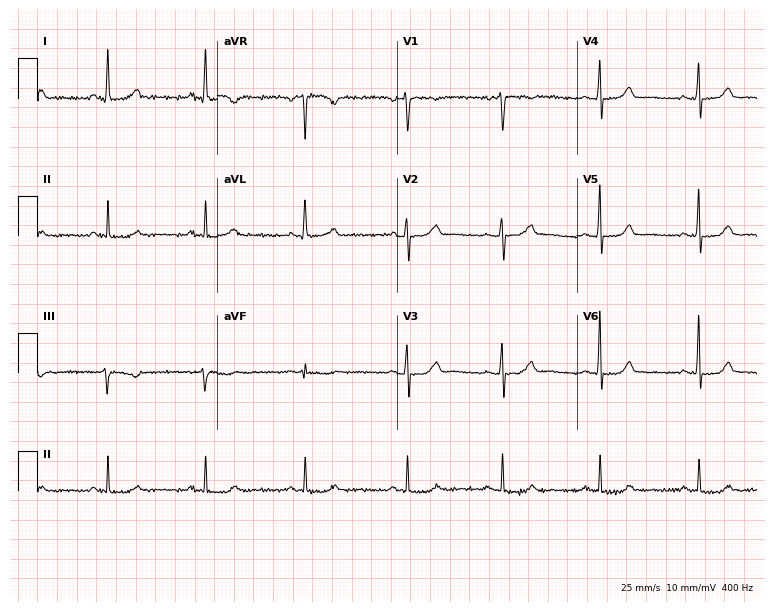
Electrocardiogram (7.3-second recording at 400 Hz), a woman, 46 years old. Of the six screened findings (first-degree AV block, right bundle branch block, left bundle branch block, sinus bradycardia, atrial fibrillation, sinus tachycardia), none is recorded. Findings outside these six are not listed.